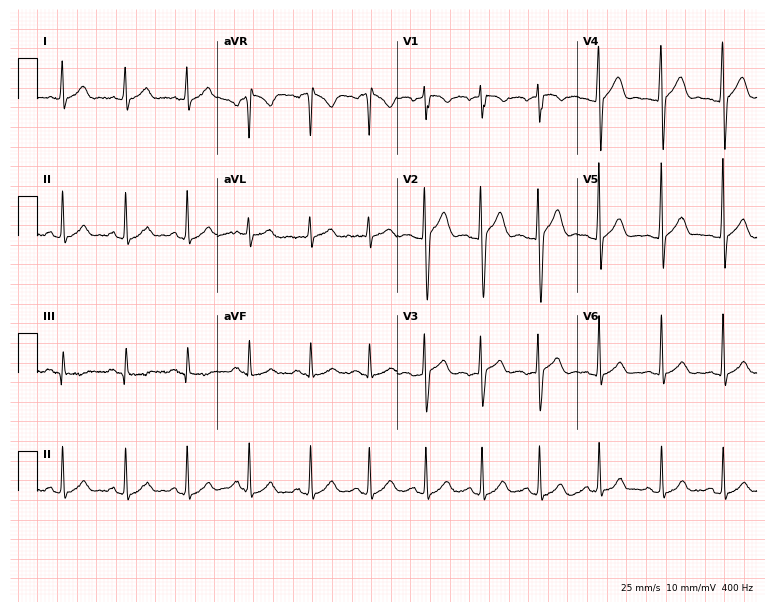
Resting 12-lead electrocardiogram (7.3-second recording at 400 Hz). Patient: a male, 25 years old. Read as a normal ECG.